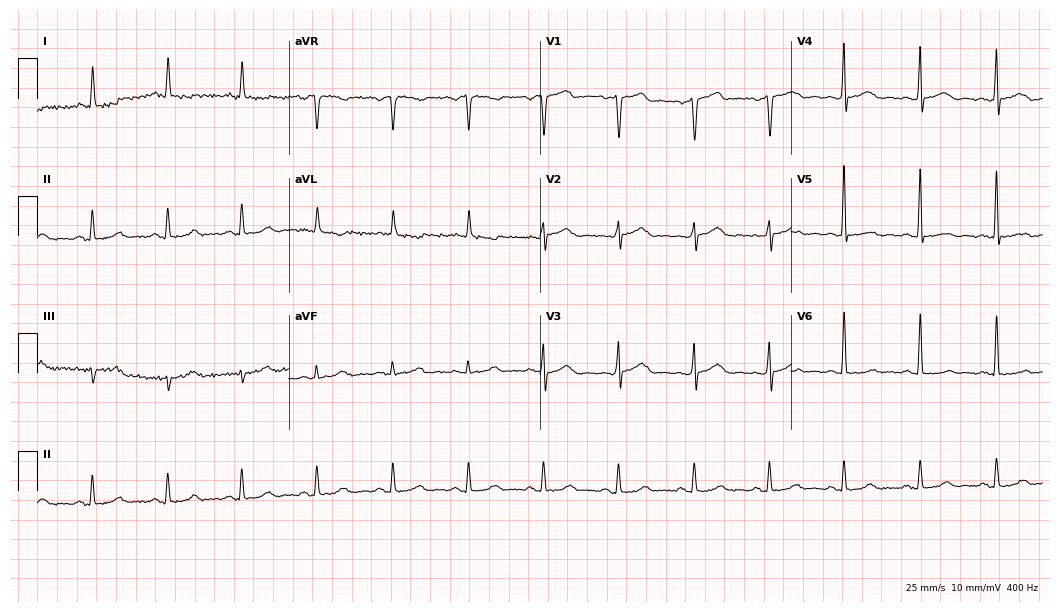
Electrocardiogram (10.2-second recording at 400 Hz), a 63-year-old female patient. Of the six screened findings (first-degree AV block, right bundle branch block (RBBB), left bundle branch block (LBBB), sinus bradycardia, atrial fibrillation (AF), sinus tachycardia), none is recorded. Findings outside these six are not listed.